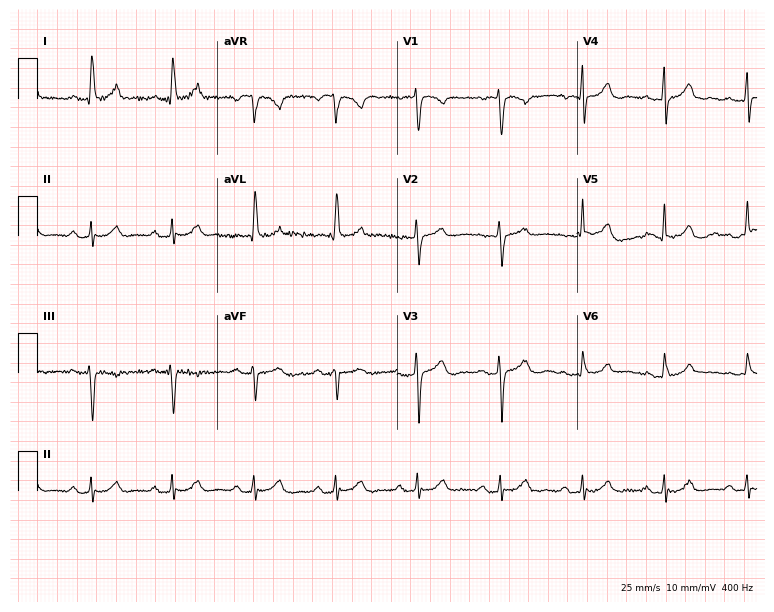
12-lead ECG from a 70-year-old woman. Recorded interpretation: within normal limits.